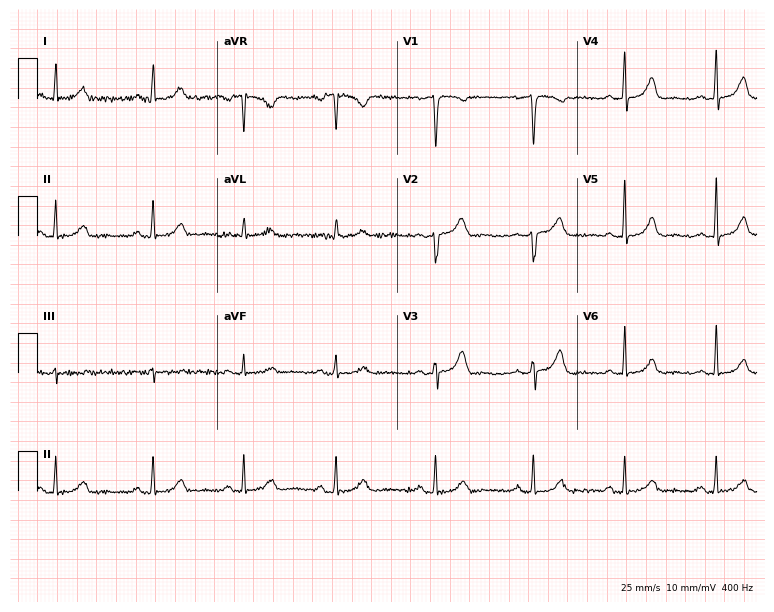
Standard 12-lead ECG recorded from a female, 44 years old. None of these six findings is recorded: first-degree AV block, right bundle branch block, left bundle branch block, sinus bradycardia, atrial fibrillation, sinus tachycardia. Only these six findings were labelled.